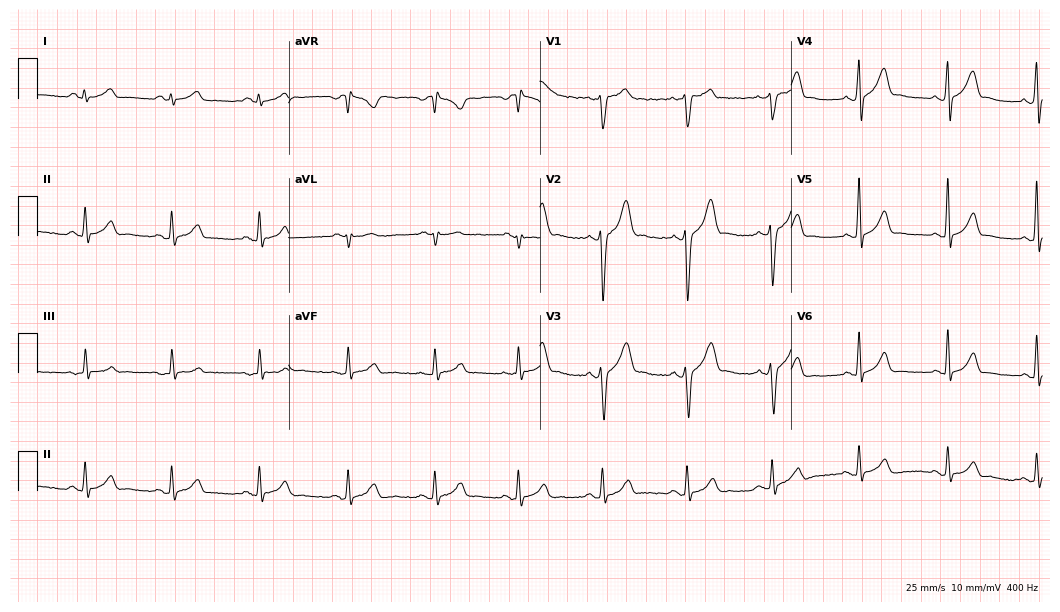
12-lead ECG (10.2-second recording at 400 Hz) from a male, 27 years old. Screened for six findings — first-degree AV block, right bundle branch block, left bundle branch block, sinus bradycardia, atrial fibrillation, sinus tachycardia — none is recorded. Other findings, if any, are not listed.